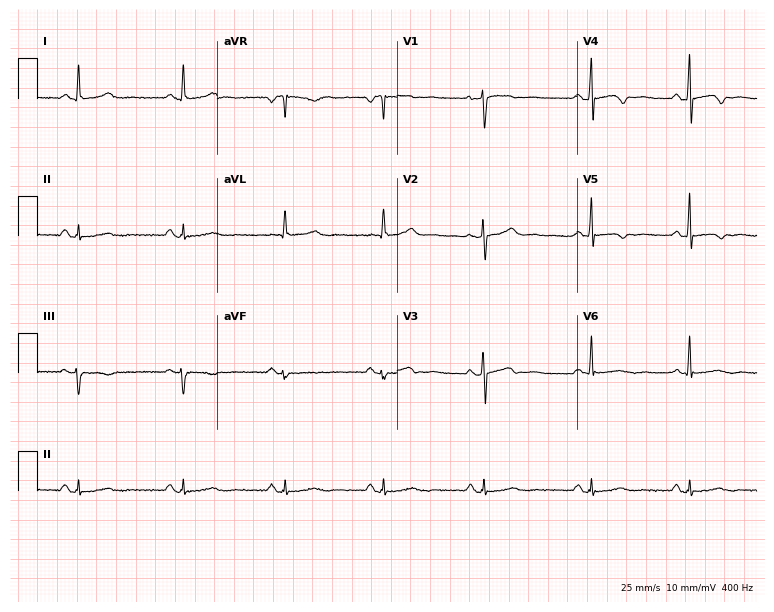
Electrocardiogram (7.3-second recording at 400 Hz), a 52-year-old woman. Of the six screened findings (first-degree AV block, right bundle branch block, left bundle branch block, sinus bradycardia, atrial fibrillation, sinus tachycardia), none is recorded.